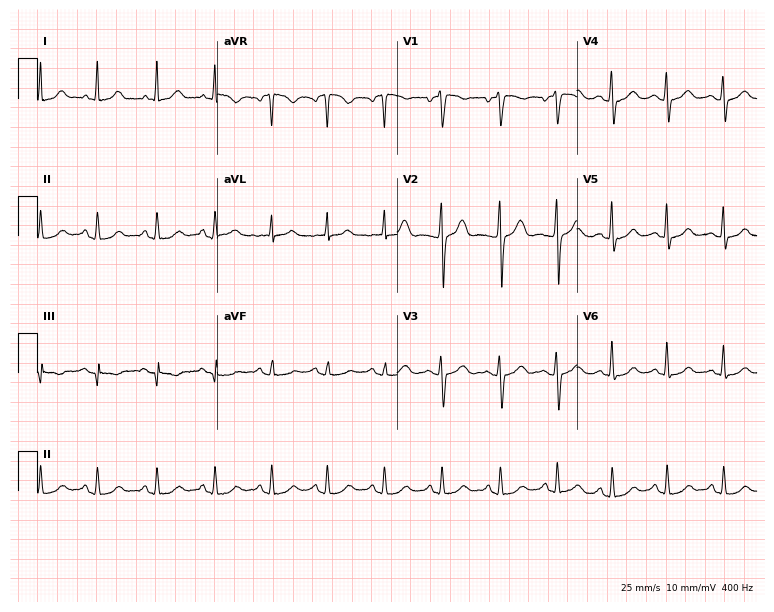
12-lead ECG from a female, 46 years old. No first-degree AV block, right bundle branch block, left bundle branch block, sinus bradycardia, atrial fibrillation or sinus tachycardia recorded for this tracing.